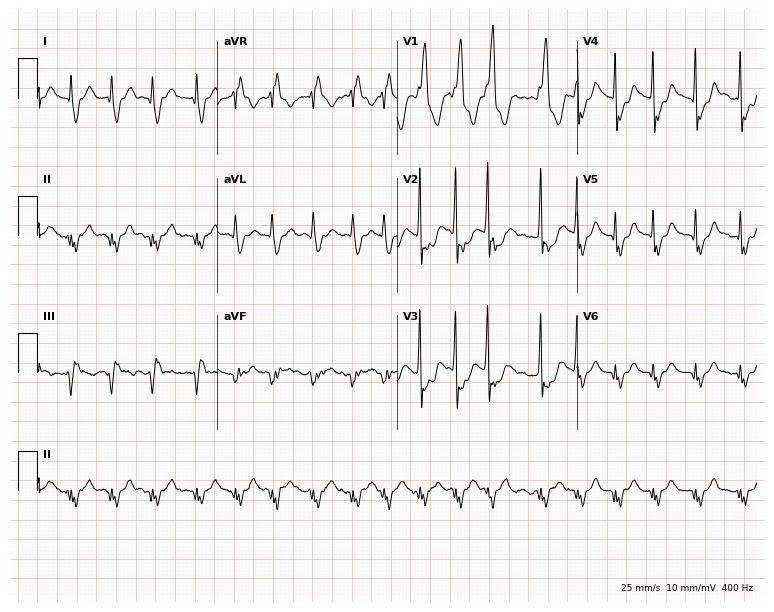
Resting 12-lead electrocardiogram (7.3-second recording at 400 Hz). Patient: a 76-year-old male. None of these six findings is recorded: first-degree AV block, right bundle branch block (RBBB), left bundle branch block (LBBB), sinus bradycardia, atrial fibrillation (AF), sinus tachycardia.